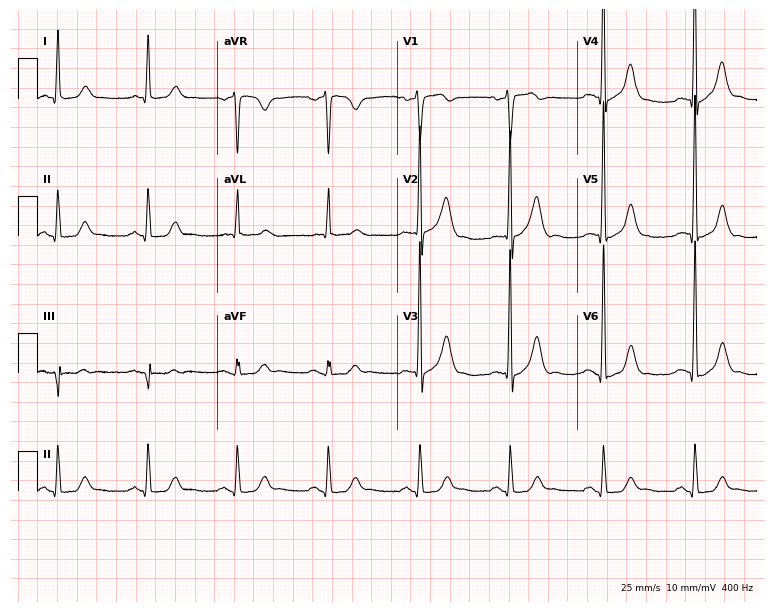
12-lead ECG (7.3-second recording at 400 Hz) from a male patient, 64 years old. Labelled as a normal ECG.